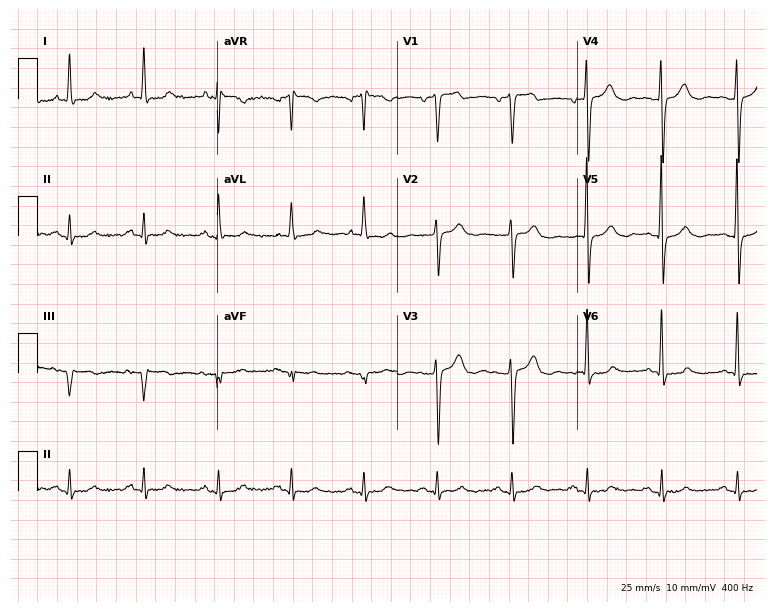
Standard 12-lead ECG recorded from a man, 69 years old (7.3-second recording at 400 Hz). Read as a normal ECG.